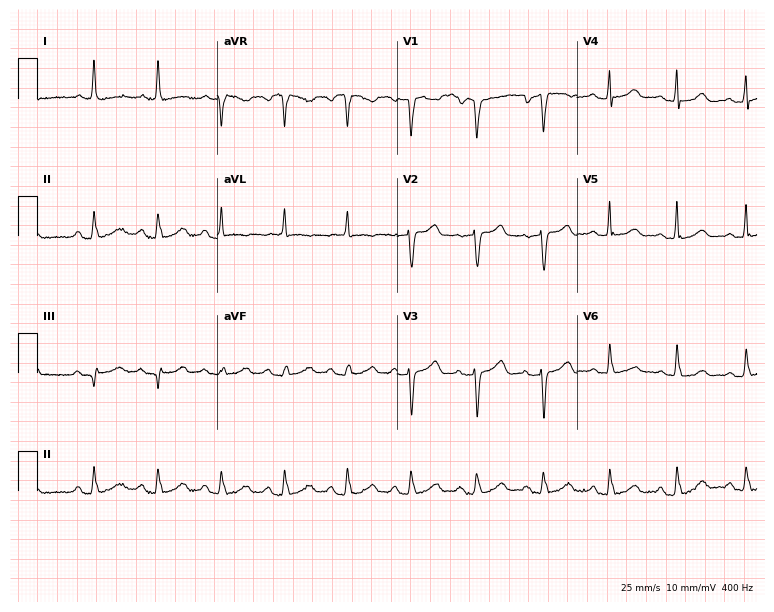
12-lead ECG from a woman, 70 years old. Labelled as a normal ECG.